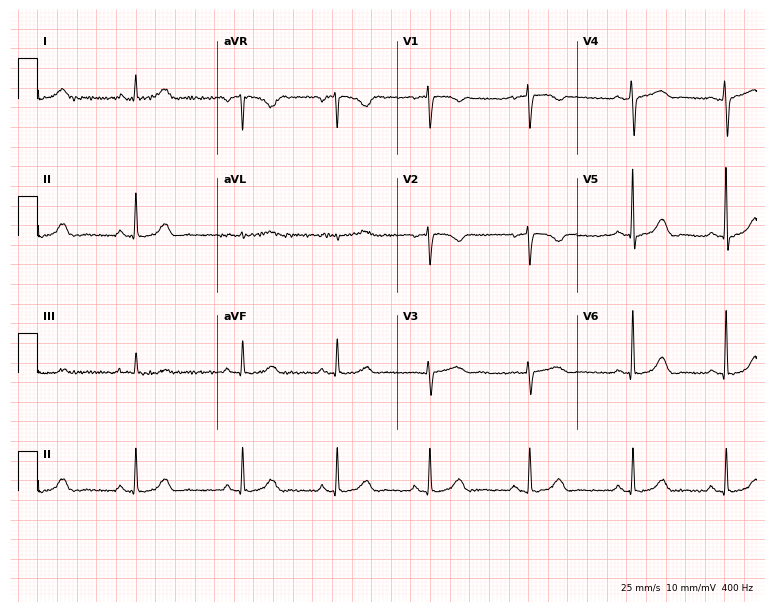
12-lead ECG from a 36-year-old female patient (7.3-second recording at 400 Hz). Recorded interpretation: within normal limits.